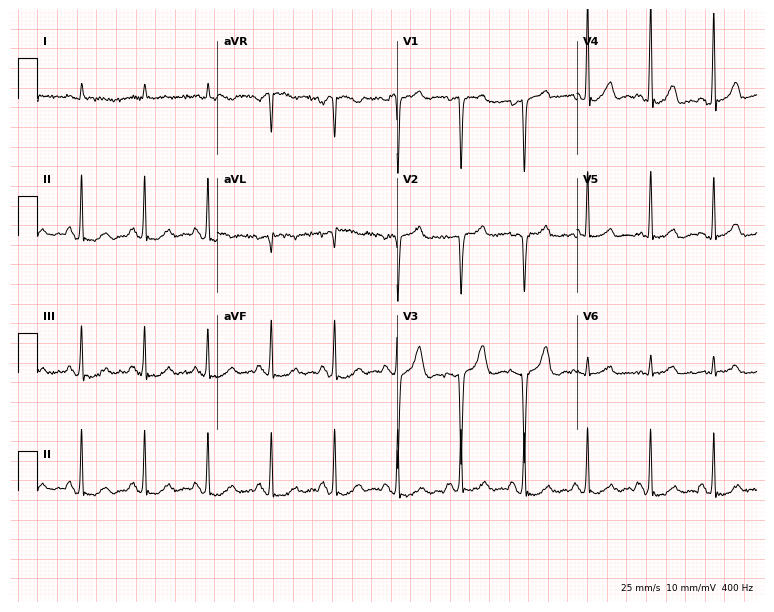
Electrocardiogram (7.3-second recording at 400 Hz), a man, 77 years old. Of the six screened findings (first-degree AV block, right bundle branch block, left bundle branch block, sinus bradycardia, atrial fibrillation, sinus tachycardia), none is recorded.